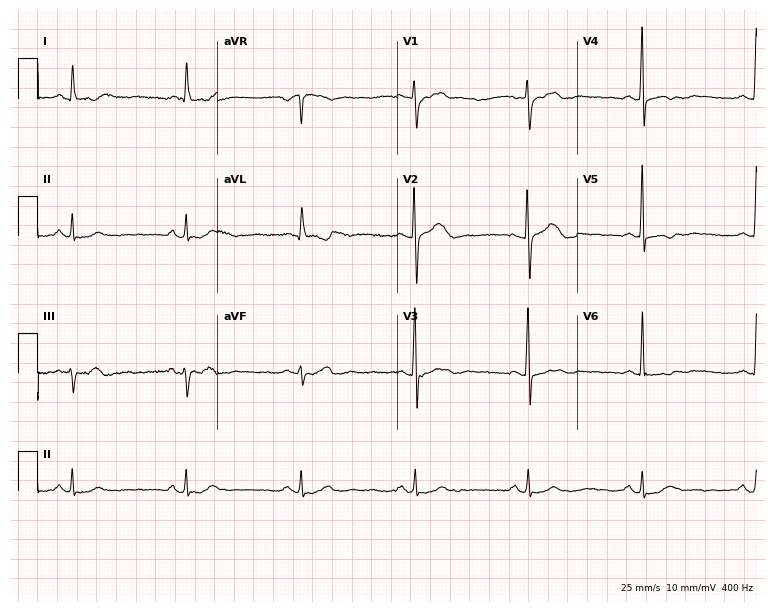
Resting 12-lead electrocardiogram. Patient: a male, 69 years old. None of these six findings is recorded: first-degree AV block, right bundle branch block, left bundle branch block, sinus bradycardia, atrial fibrillation, sinus tachycardia.